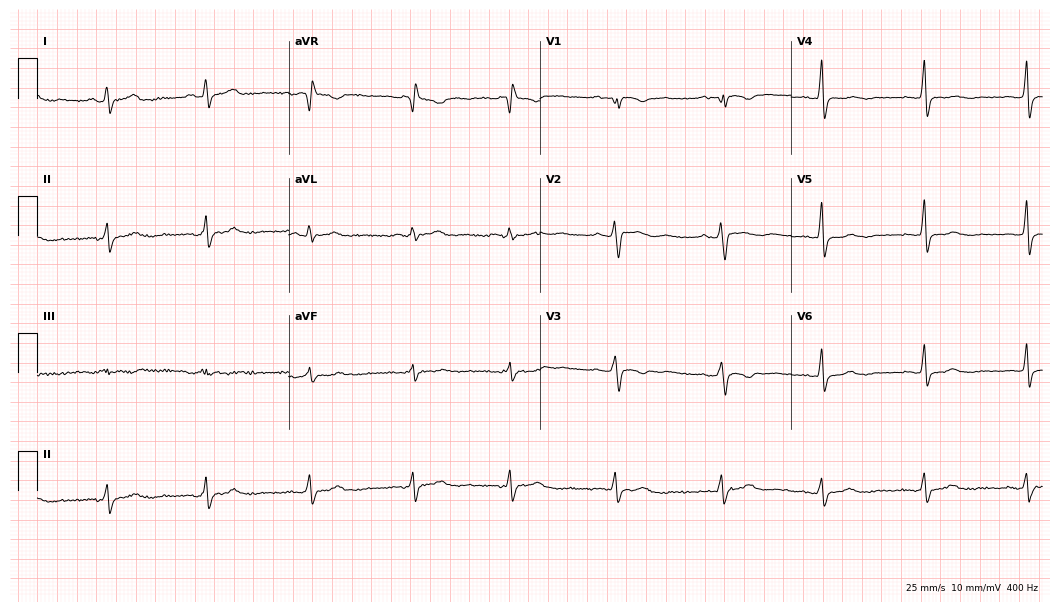
12-lead ECG (10.2-second recording at 400 Hz) from a 44-year-old female. Screened for six findings — first-degree AV block, right bundle branch block, left bundle branch block, sinus bradycardia, atrial fibrillation, sinus tachycardia — none is recorded. Only these six findings were labelled.